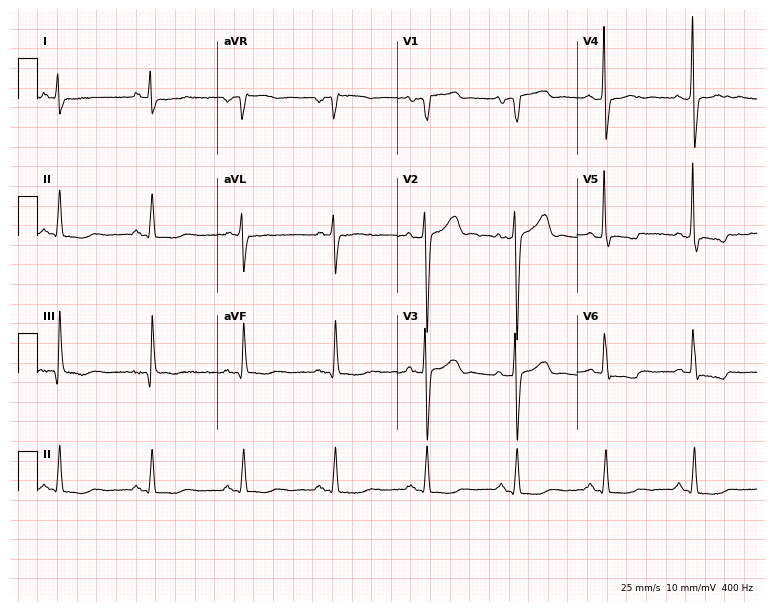
Resting 12-lead electrocardiogram. Patient: a male, 64 years old. None of these six findings is recorded: first-degree AV block, right bundle branch block (RBBB), left bundle branch block (LBBB), sinus bradycardia, atrial fibrillation (AF), sinus tachycardia.